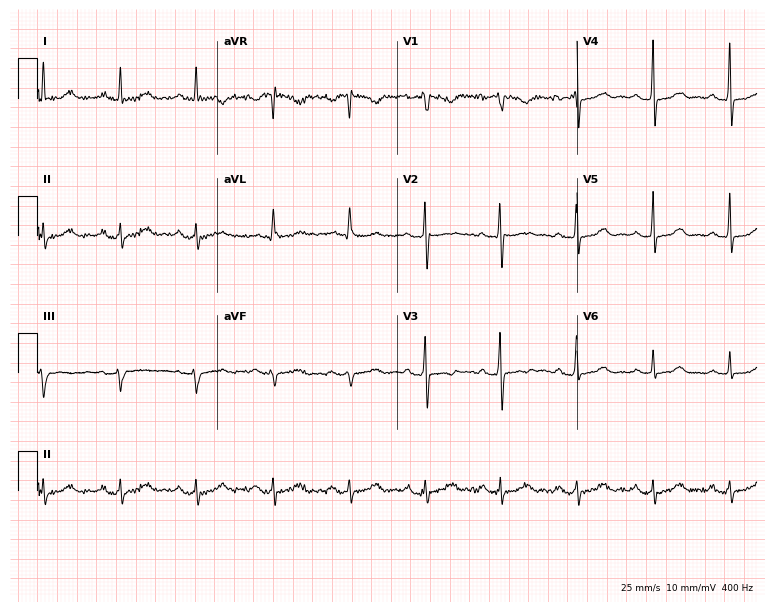
Electrocardiogram (7.3-second recording at 400 Hz), a 44-year-old woman. Of the six screened findings (first-degree AV block, right bundle branch block, left bundle branch block, sinus bradycardia, atrial fibrillation, sinus tachycardia), none is recorded.